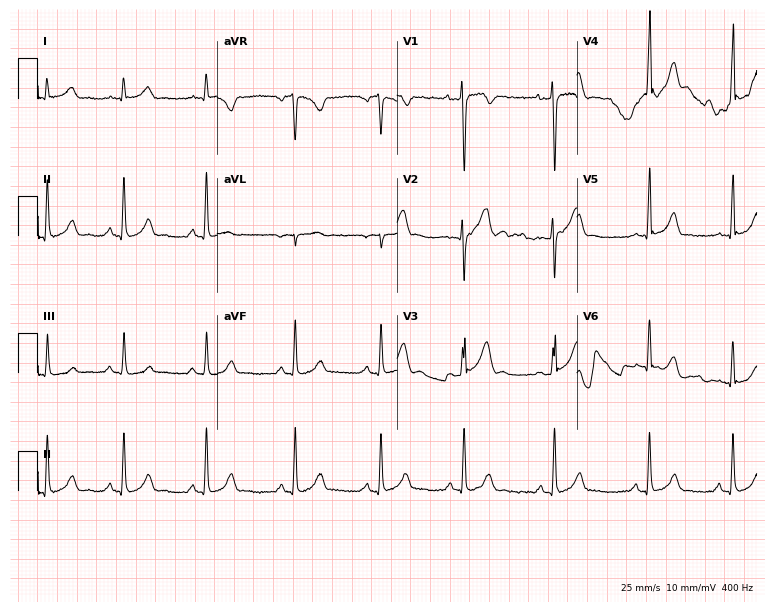
Standard 12-lead ECG recorded from a male patient, 25 years old (7.3-second recording at 400 Hz). Read as a normal ECG.